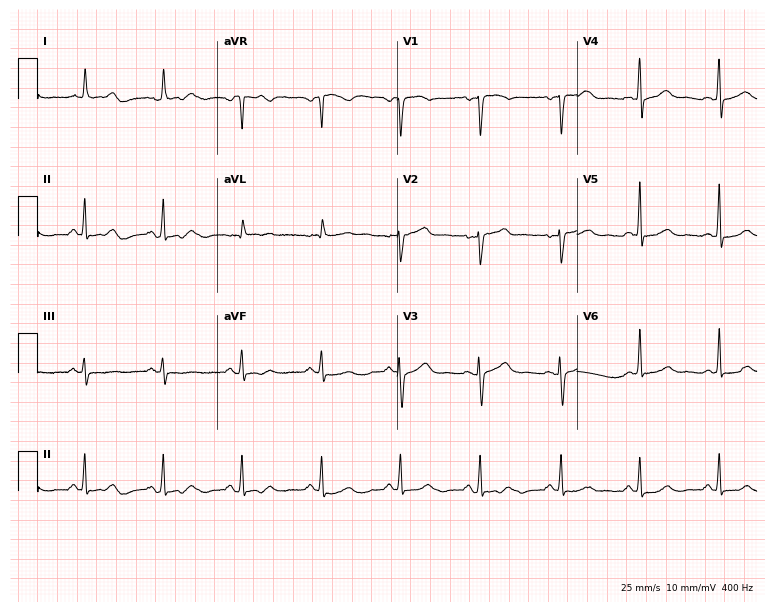
Standard 12-lead ECG recorded from a female, 56 years old. Read as a normal ECG.